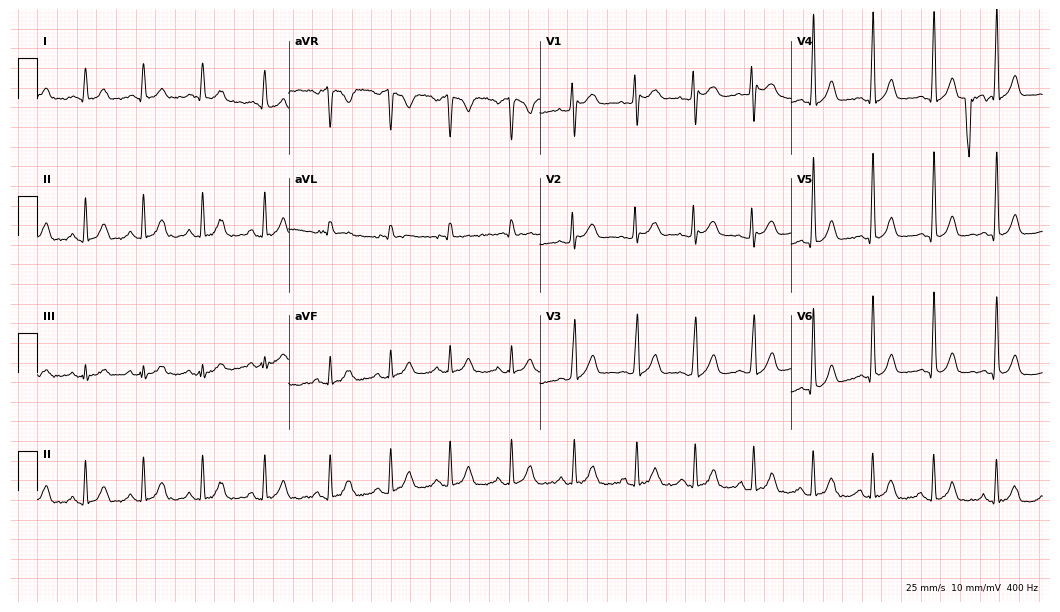
ECG (10.2-second recording at 400 Hz) — a female patient, 18 years old. Screened for six findings — first-degree AV block, right bundle branch block, left bundle branch block, sinus bradycardia, atrial fibrillation, sinus tachycardia — none is recorded. Only these six findings were labelled.